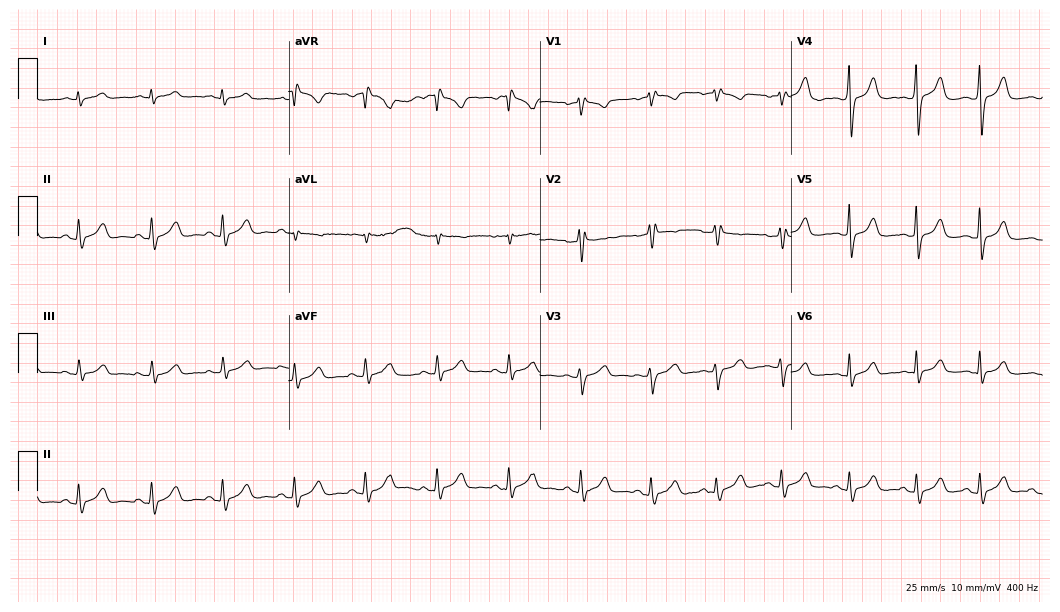
ECG — a 41-year-old female patient. Screened for six findings — first-degree AV block, right bundle branch block, left bundle branch block, sinus bradycardia, atrial fibrillation, sinus tachycardia — none is recorded. Findings outside these six are not listed.